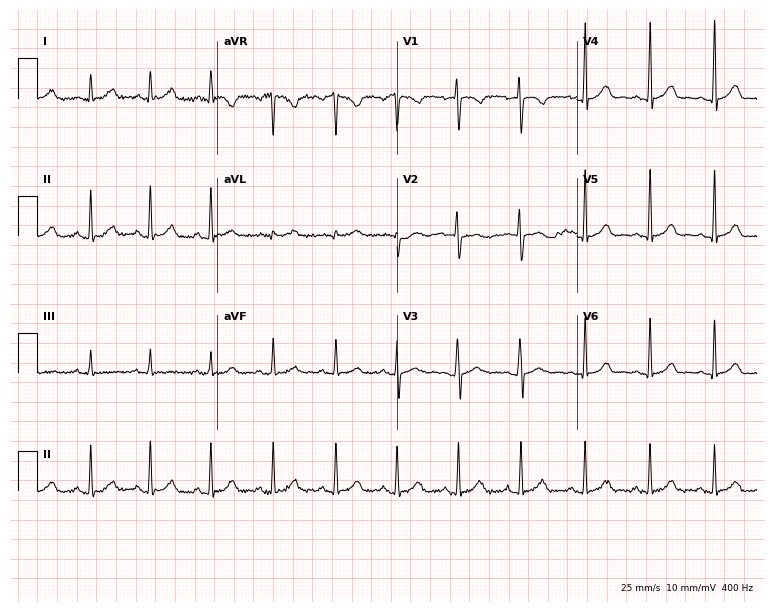
ECG — a 22-year-old female patient. Labelled as a normal ECG.